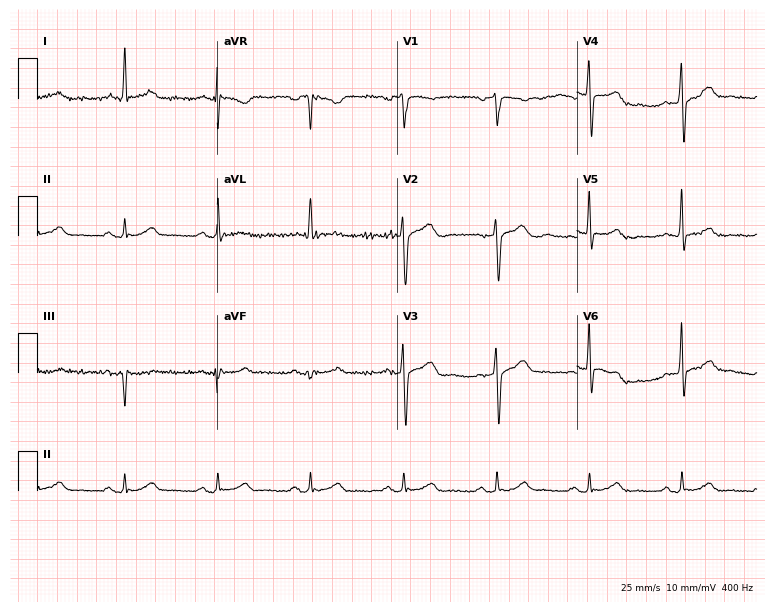
12-lead ECG from a female, 69 years old. Recorded interpretation: within normal limits.